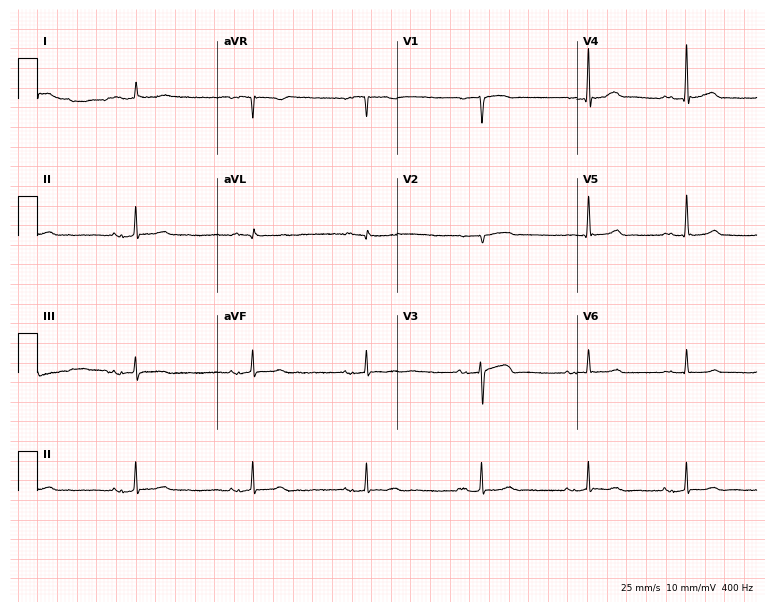
12-lead ECG from an 84-year-old male patient. Shows first-degree AV block.